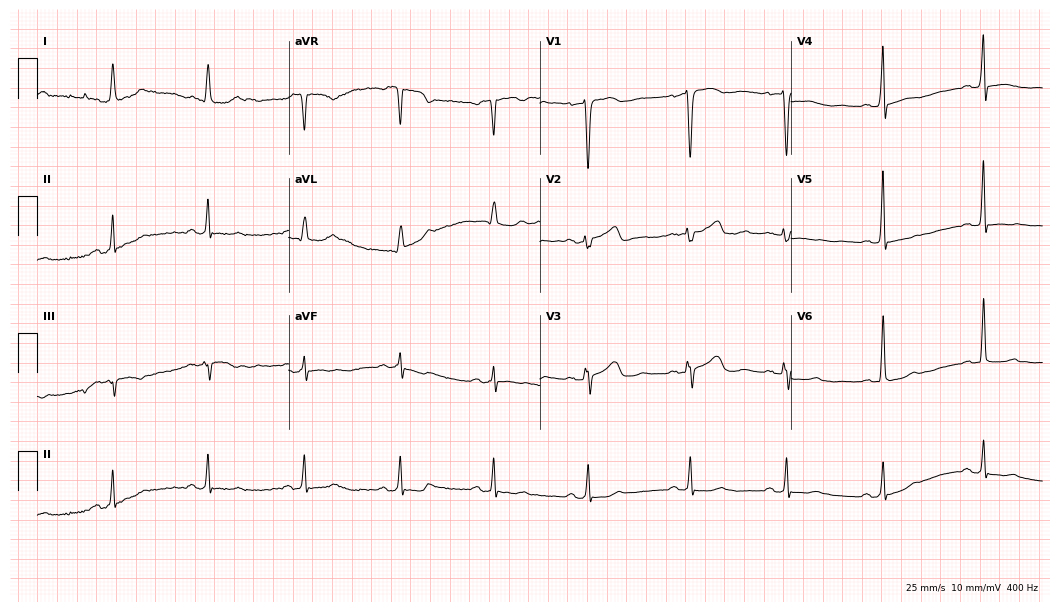
ECG — a female, 61 years old. Screened for six findings — first-degree AV block, right bundle branch block (RBBB), left bundle branch block (LBBB), sinus bradycardia, atrial fibrillation (AF), sinus tachycardia — none is recorded. Findings outside these six are not listed.